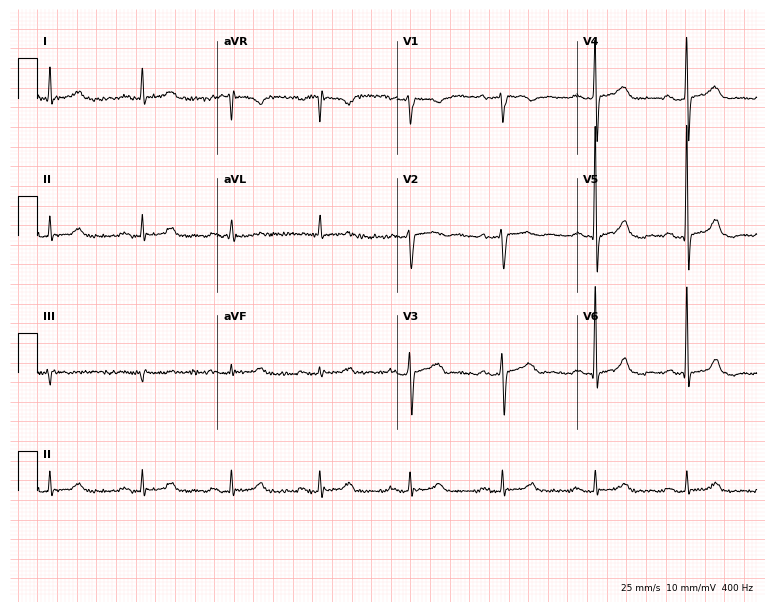
Standard 12-lead ECG recorded from a 79-year-old man (7.3-second recording at 400 Hz). None of these six findings is recorded: first-degree AV block, right bundle branch block, left bundle branch block, sinus bradycardia, atrial fibrillation, sinus tachycardia. Only these six findings were labelled.